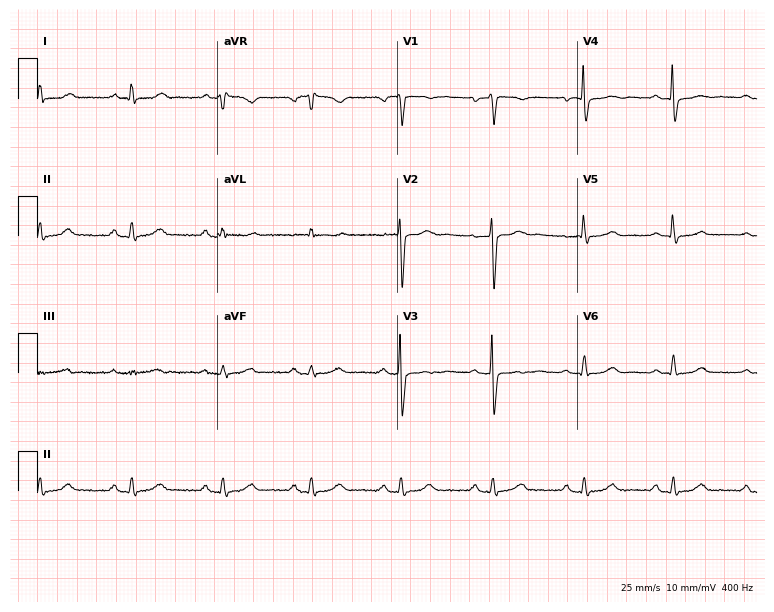
Electrocardiogram, a 60-year-old female. Overall reading on record: normal ECG.